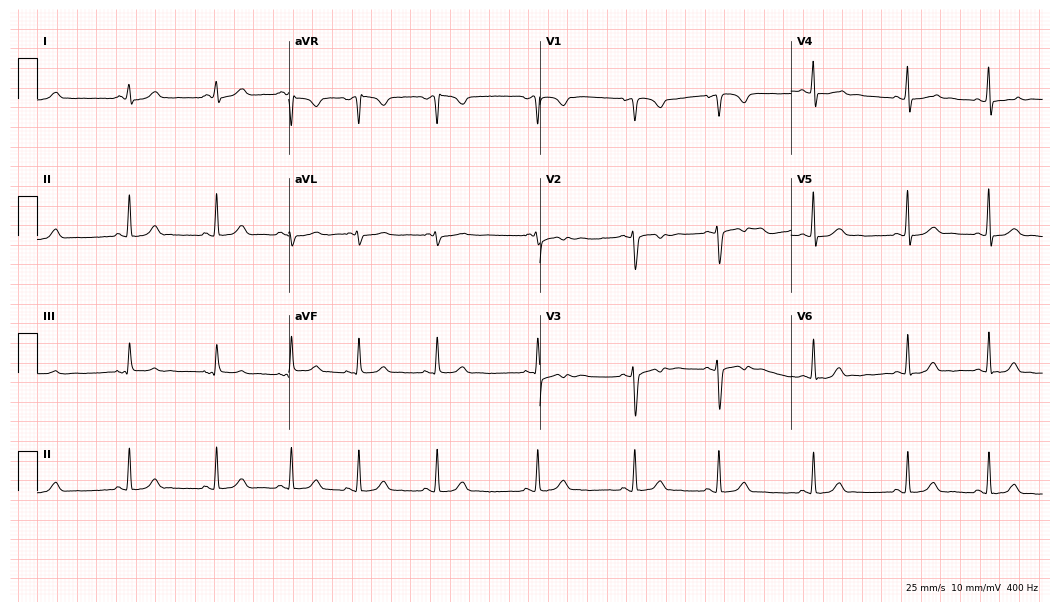
Resting 12-lead electrocardiogram. Patient: a female, 19 years old. None of these six findings is recorded: first-degree AV block, right bundle branch block (RBBB), left bundle branch block (LBBB), sinus bradycardia, atrial fibrillation (AF), sinus tachycardia. Findings outside these six are not listed.